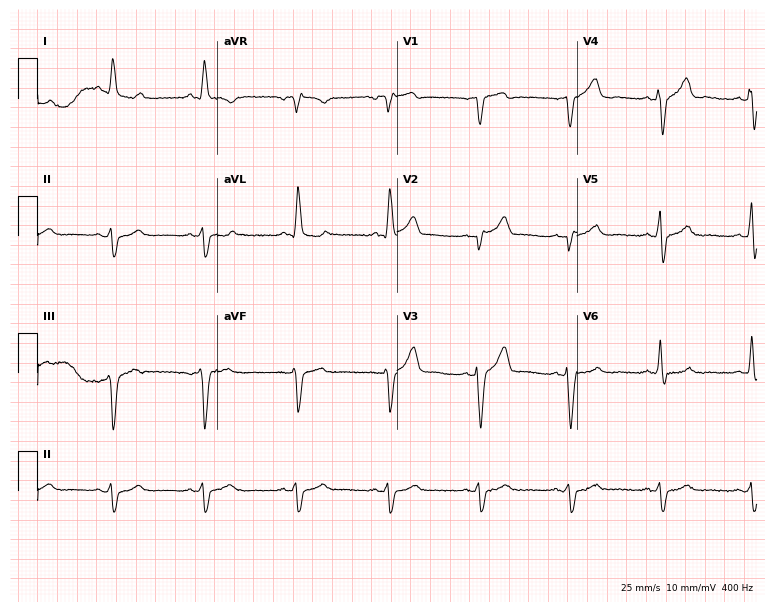
12-lead ECG from a man, 74 years old. Screened for six findings — first-degree AV block, right bundle branch block, left bundle branch block, sinus bradycardia, atrial fibrillation, sinus tachycardia — none is recorded.